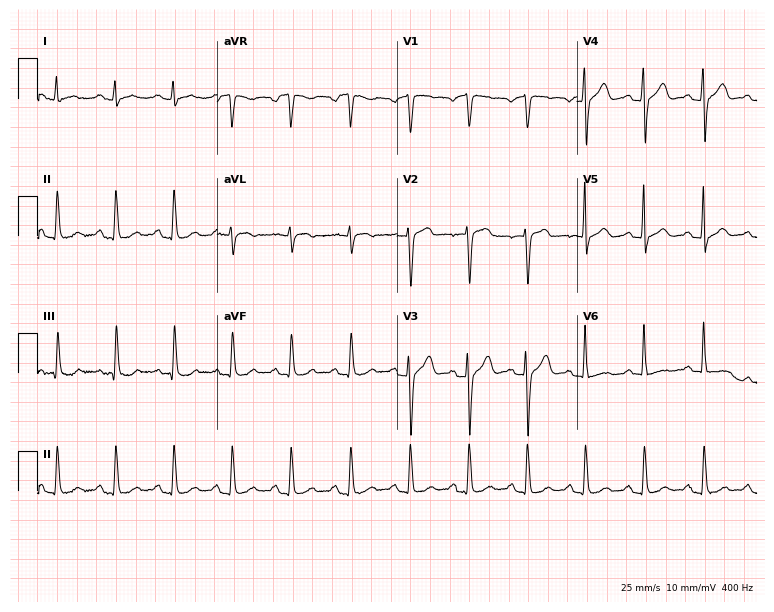
ECG — a 47-year-old male. Labelled as a normal ECG.